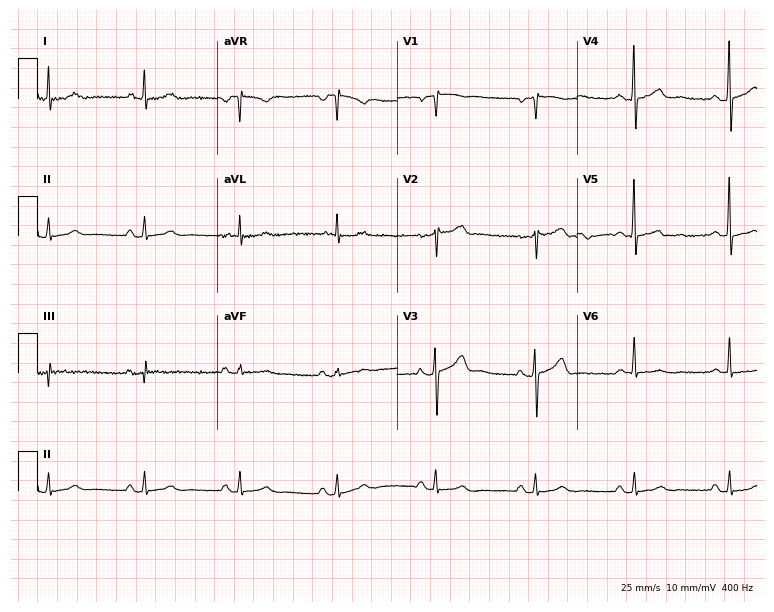
12-lead ECG from a 58-year-old man. Labelled as a normal ECG.